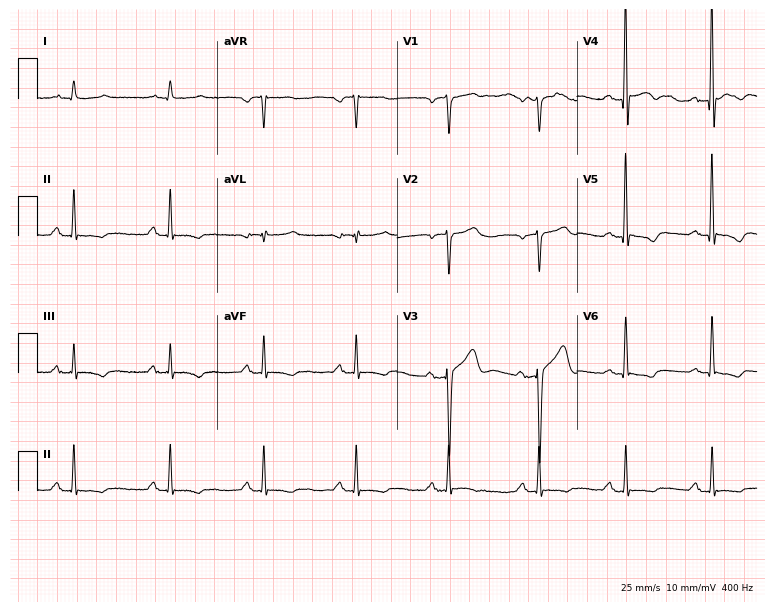
Electrocardiogram, a 56-year-old man. Of the six screened findings (first-degree AV block, right bundle branch block (RBBB), left bundle branch block (LBBB), sinus bradycardia, atrial fibrillation (AF), sinus tachycardia), none is recorded. Other findings, if any, are not listed.